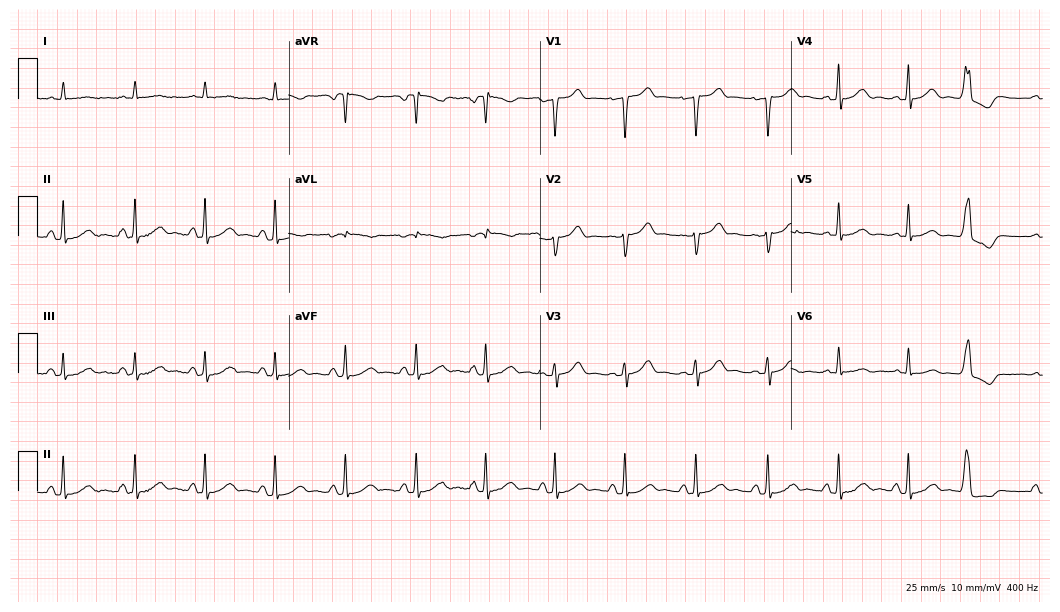
Electrocardiogram, a 64-year-old male. Of the six screened findings (first-degree AV block, right bundle branch block (RBBB), left bundle branch block (LBBB), sinus bradycardia, atrial fibrillation (AF), sinus tachycardia), none is recorded. Other findings, if any, are not listed.